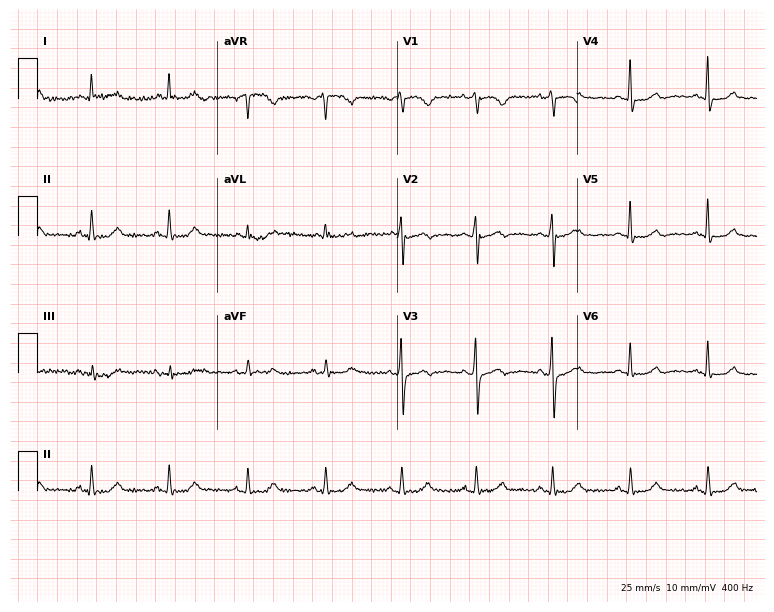
Standard 12-lead ECG recorded from a 59-year-old female patient (7.3-second recording at 400 Hz). Read as a normal ECG.